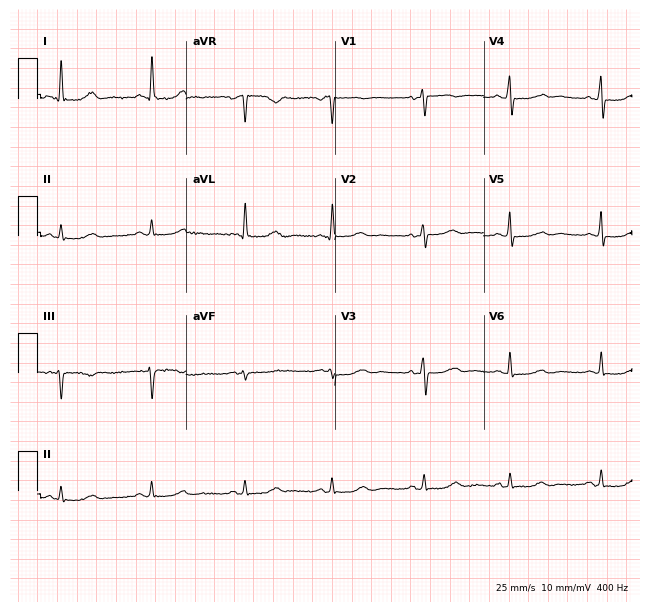
Standard 12-lead ECG recorded from a woman, 52 years old (6.1-second recording at 400 Hz). None of these six findings is recorded: first-degree AV block, right bundle branch block (RBBB), left bundle branch block (LBBB), sinus bradycardia, atrial fibrillation (AF), sinus tachycardia.